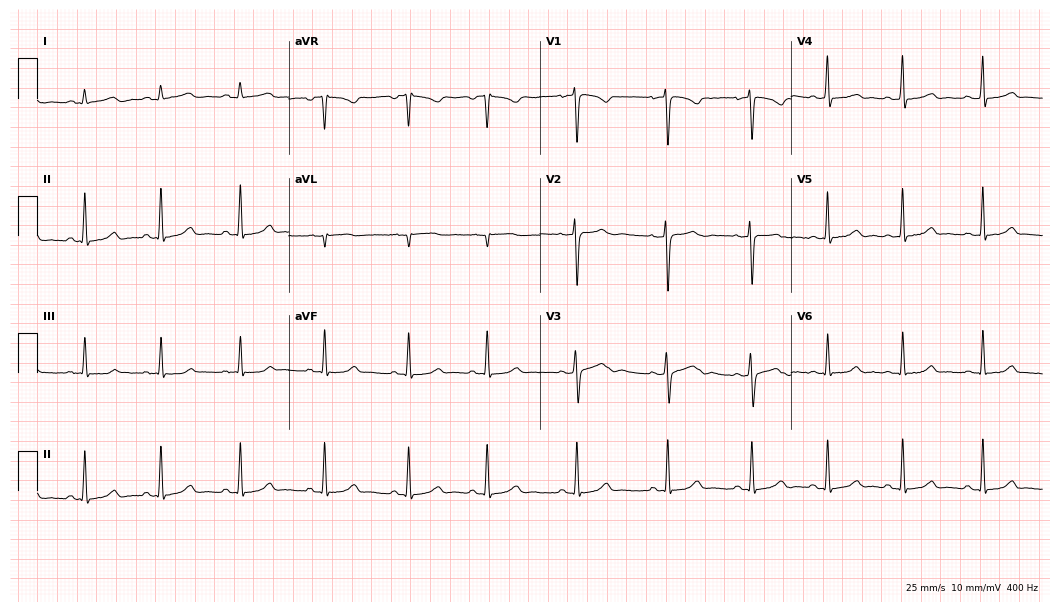
12-lead ECG from a female patient, 21 years old. Labelled as a normal ECG.